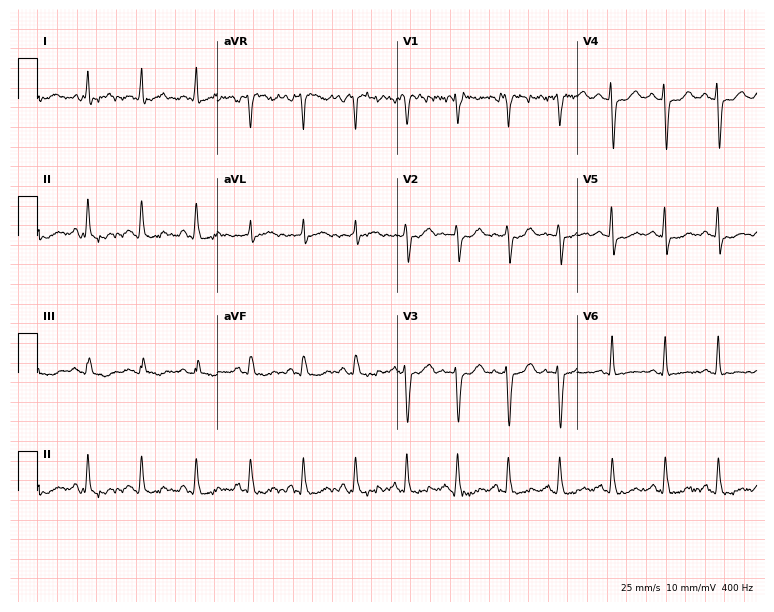
Electrocardiogram, a female, 41 years old. Interpretation includes sinus tachycardia (a sinus rate of 100 beats per minute or more).